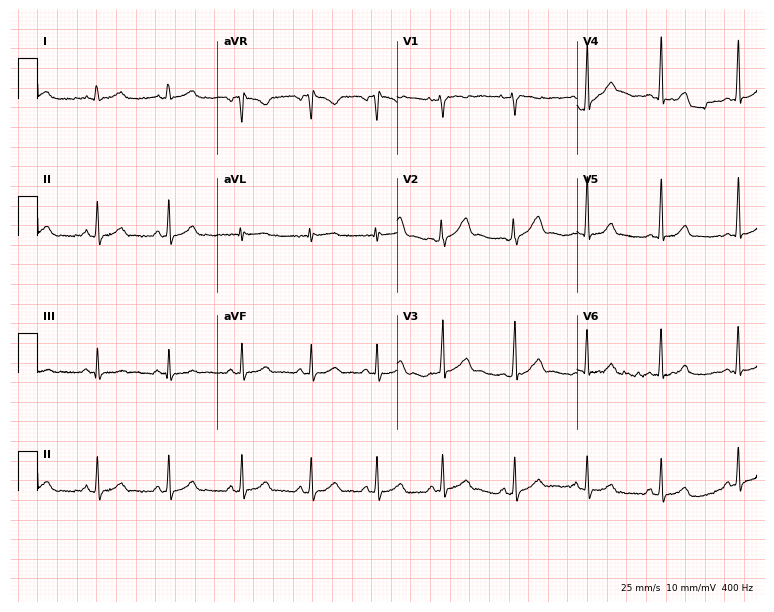
12-lead ECG (7.3-second recording at 400 Hz) from a female, 50 years old. Labelled as a normal ECG.